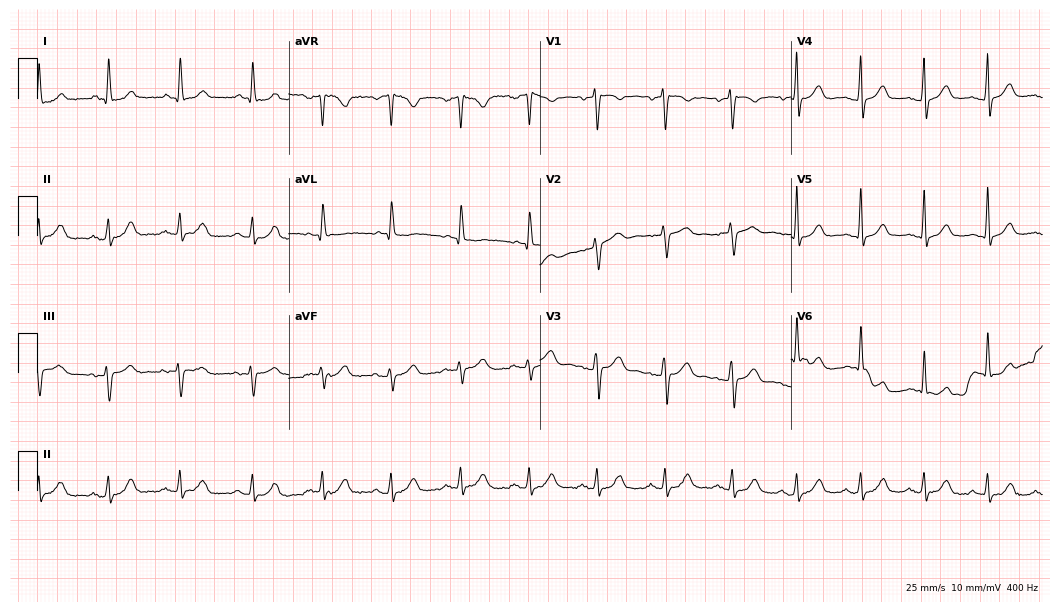
Standard 12-lead ECG recorded from a 75-year-old female patient. Read as a normal ECG.